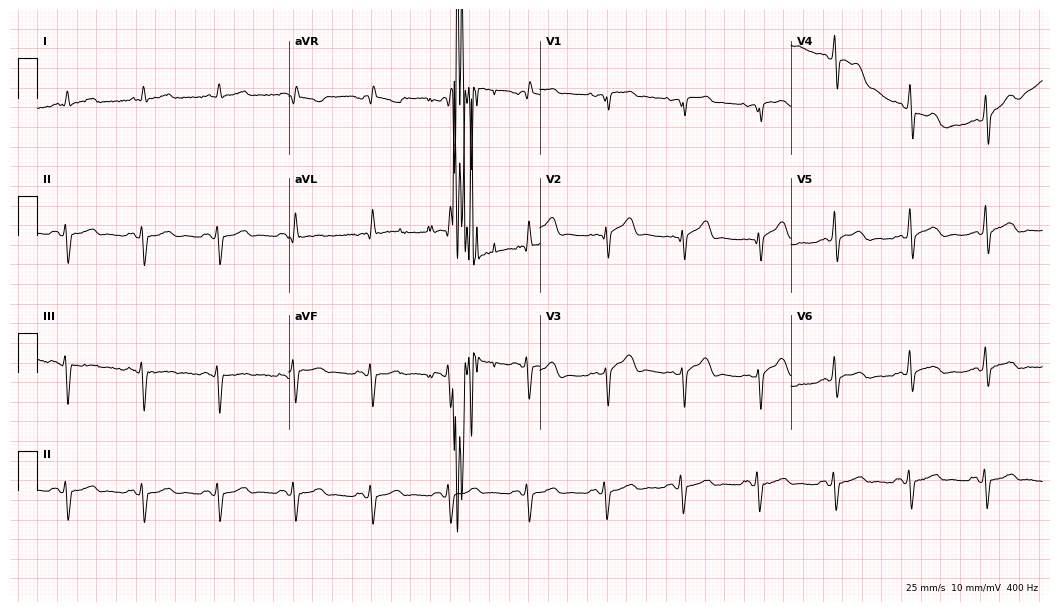
Standard 12-lead ECG recorded from a 76-year-old man (10.2-second recording at 400 Hz). None of these six findings is recorded: first-degree AV block, right bundle branch block (RBBB), left bundle branch block (LBBB), sinus bradycardia, atrial fibrillation (AF), sinus tachycardia. Other findings, if any, are not listed.